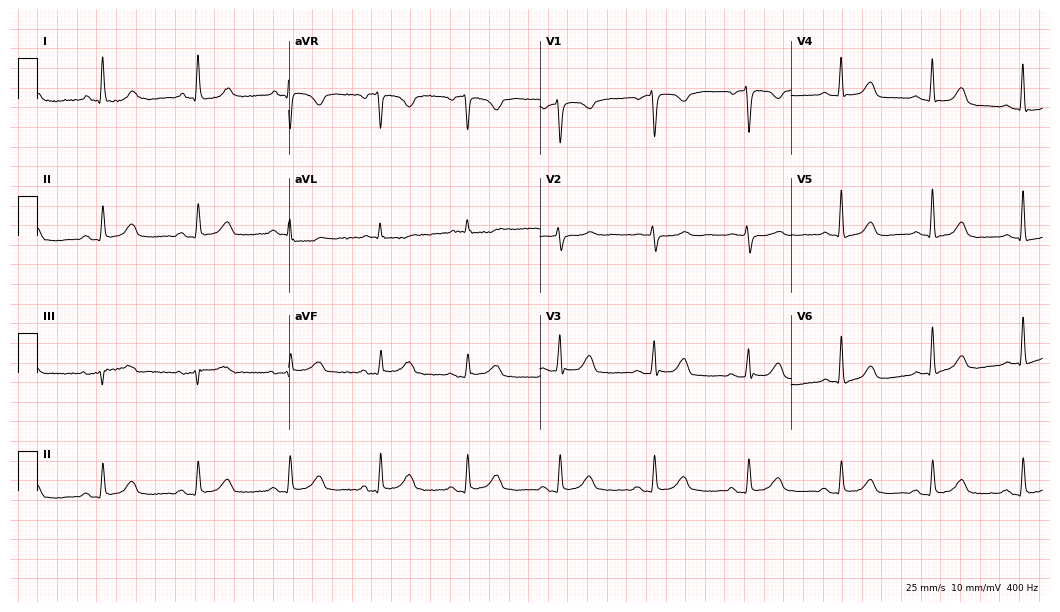
Electrocardiogram, a 58-year-old female patient. Overall reading on record: normal ECG.